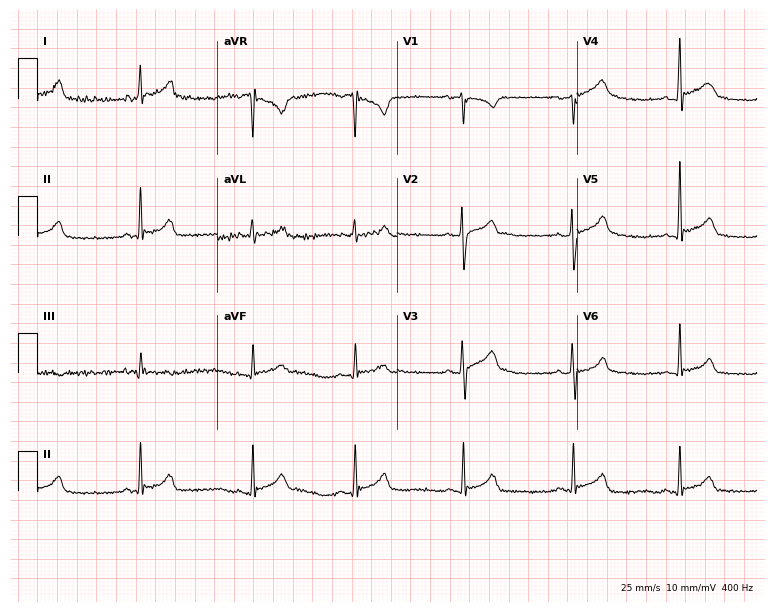
Electrocardiogram, a 28-year-old male patient. Of the six screened findings (first-degree AV block, right bundle branch block (RBBB), left bundle branch block (LBBB), sinus bradycardia, atrial fibrillation (AF), sinus tachycardia), none is recorded. Other findings, if any, are not listed.